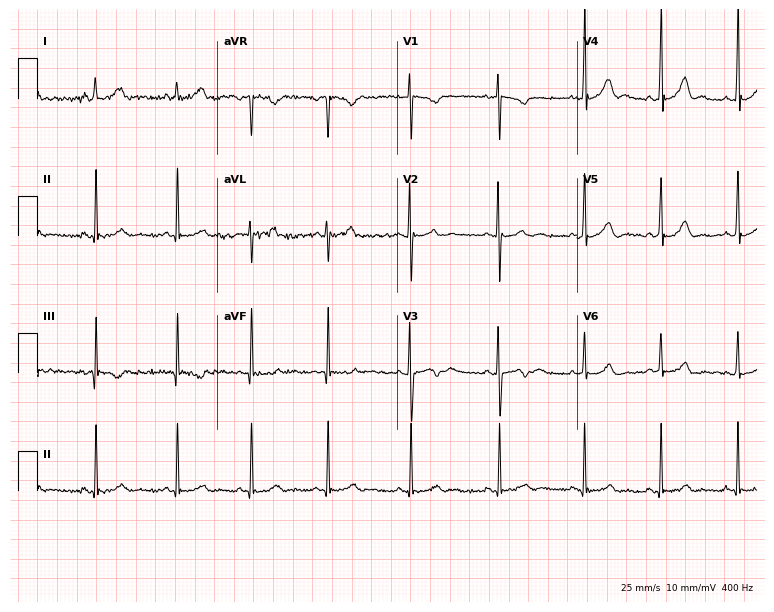
Standard 12-lead ECG recorded from a female patient, 18 years old. Read as a normal ECG.